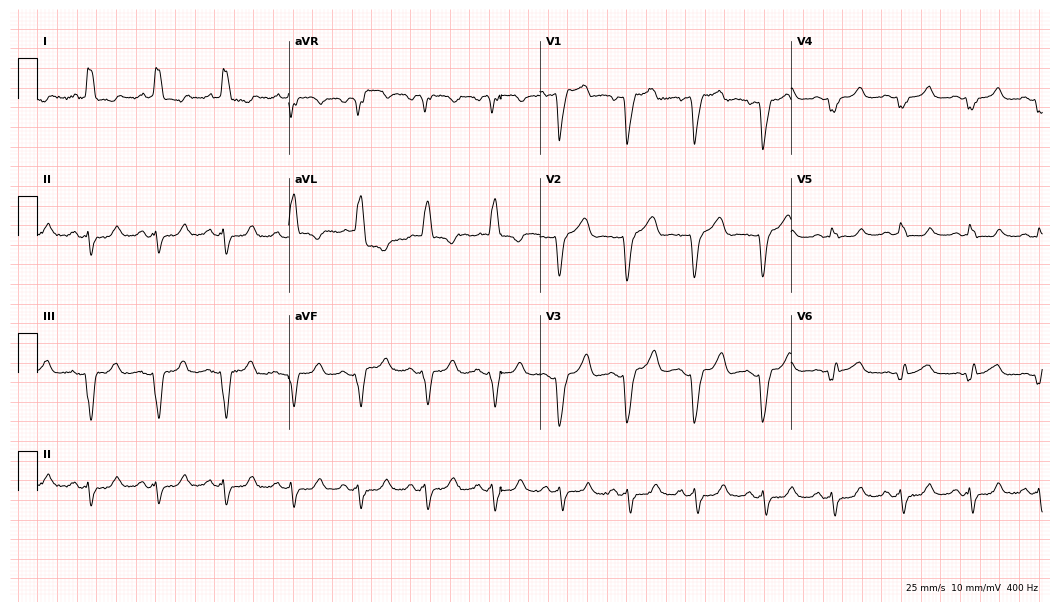
12-lead ECG from a 63-year-old female. Shows left bundle branch block (LBBB).